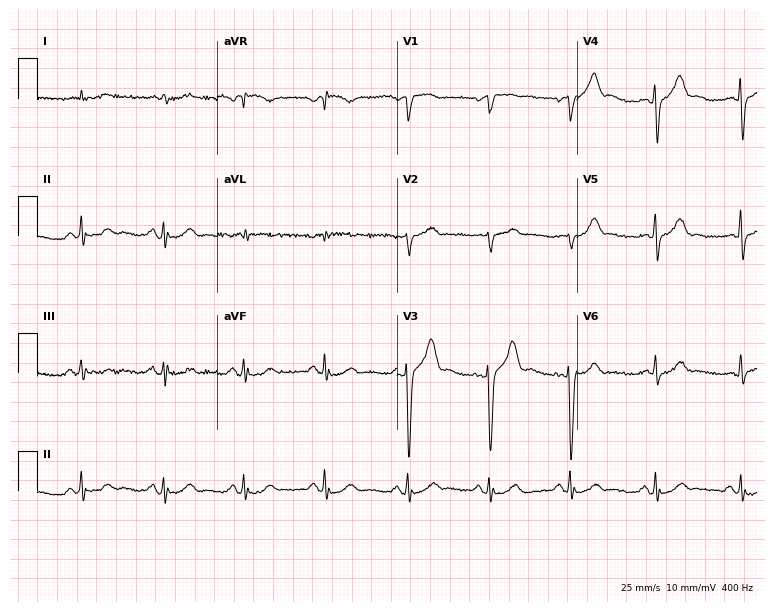
12-lead ECG (7.3-second recording at 400 Hz) from a man, 82 years old. Labelled as a normal ECG.